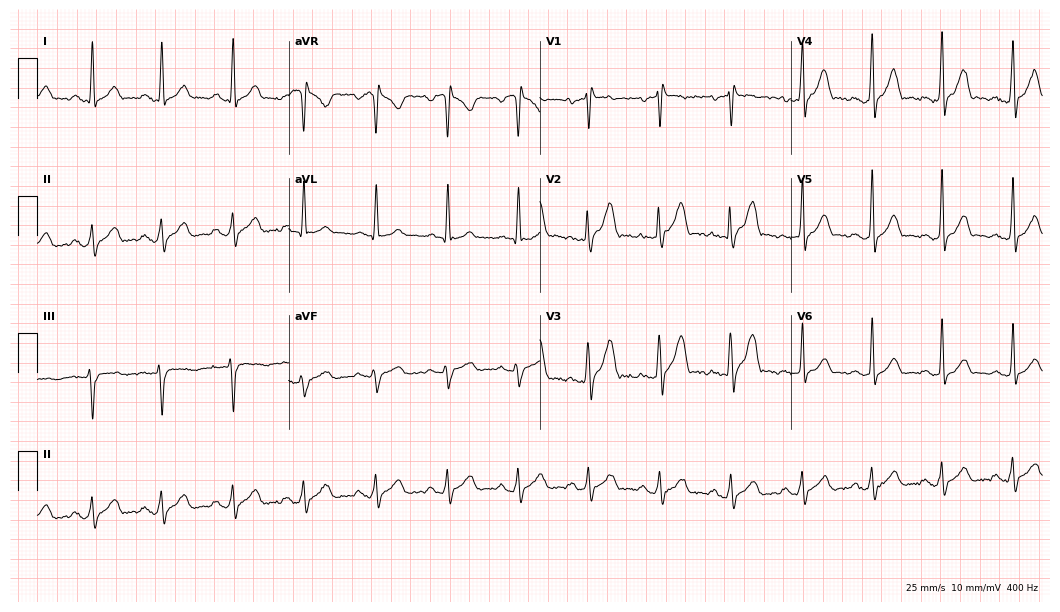
12-lead ECG from a 33-year-old male. Recorded interpretation: within normal limits.